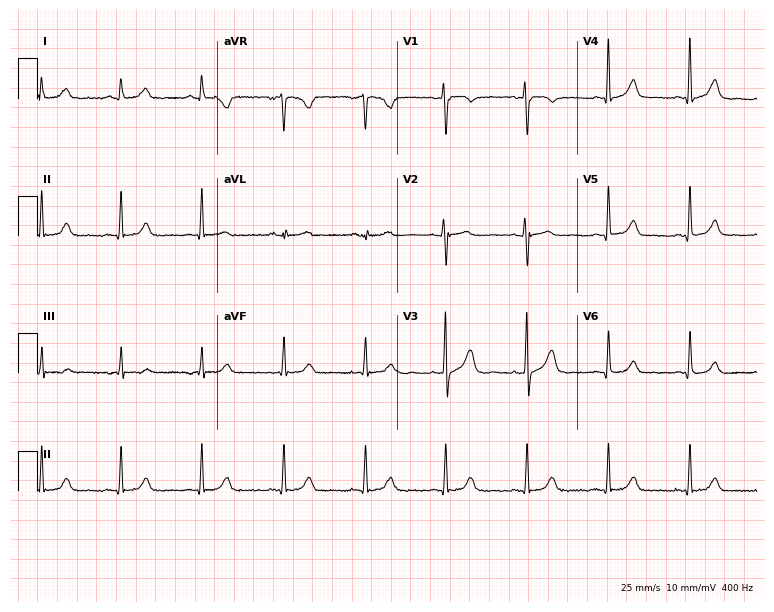
12-lead ECG from a female, 36 years old. No first-degree AV block, right bundle branch block (RBBB), left bundle branch block (LBBB), sinus bradycardia, atrial fibrillation (AF) or sinus tachycardia recorded for this tracing. Only these six findings were labelled.